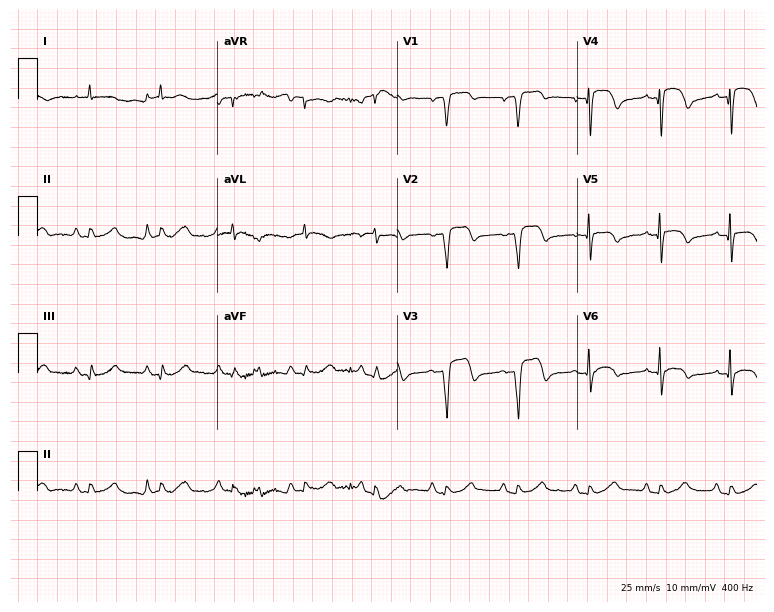
ECG (7.3-second recording at 400 Hz) — a 79-year-old male patient. Screened for six findings — first-degree AV block, right bundle branch block, left bundle branch block, sinus bradycardia, atrial fibrillation, sinus tachycardia — none is recorded. Other findings, if any, are not listed.